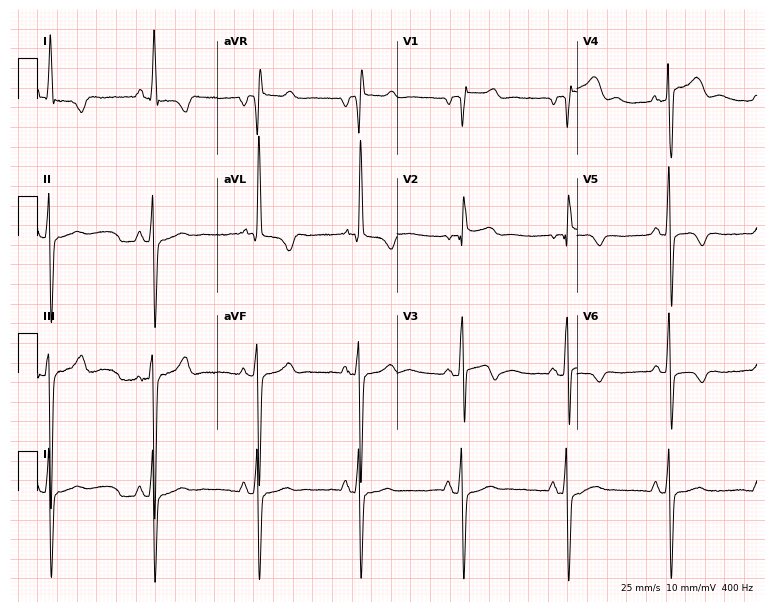
12-lead ECG from a male, 64 years old (7.3-second recording at 400 Hz). No first-degree AV block, right bundle branch block, left bundle branch block, sinus bradycardia, atrial fibrillation or sinus tachycardia recorded for this tracing. Findings outside these six are not listed.